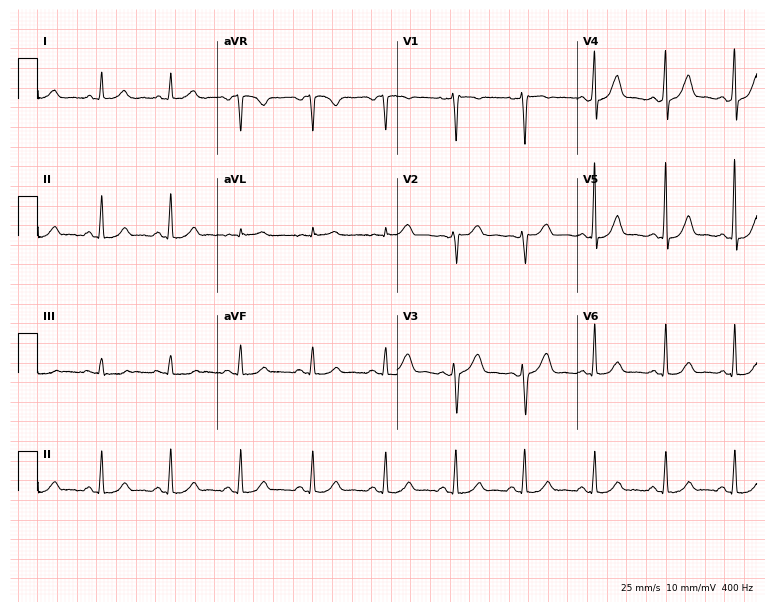
ECG (7.3-second recording at 400 Hz) — a 41-year-old female. Screened for six findings — first-degree AV block, right bundle branch block, left bundle branch block, sinus bradycardia, atrial fibrillation, sinus tachycardia — none is recorded. Only these six findings were labelled.